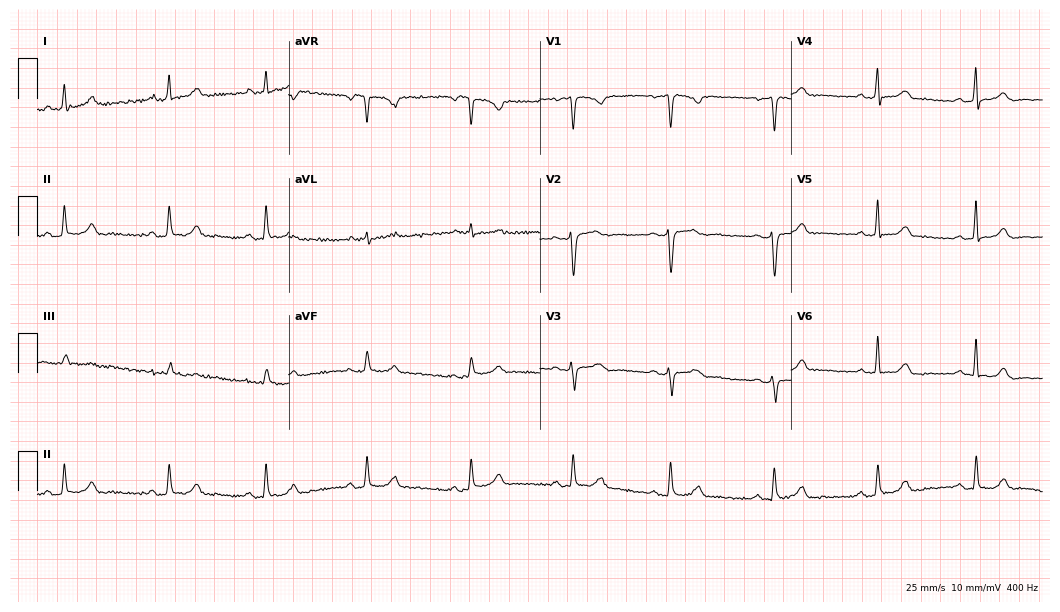
12-lead ECG from a female, 44 years old (10.2-second recording at 400 Hz). No first-degree AV block, right bundle branch block (RBBB), left bundle branch block (LBBB), sinus bradycardia, atrial fibrillation (AF) or sinus tachycardia recorded for this tracing. Only these six findings were labelled.